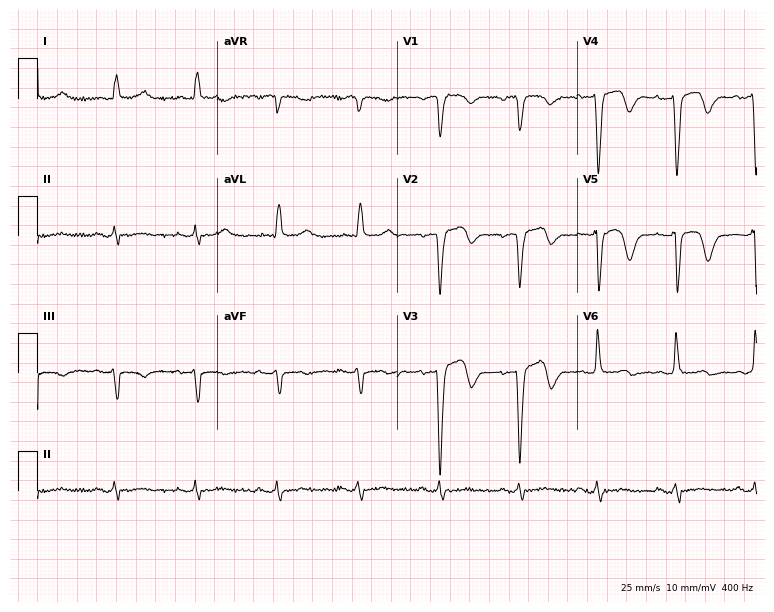
Electrocardiogram (7.3-second recording at 400 Hz), an 82-year-old male patient. Of the six screened findings (first-degree AV block, right bundle branch block, left bundle branch block, sinus bradycardia, atrial fibrillation, sinus tachycardia), none is recorded. Findings outside these six are not listed.